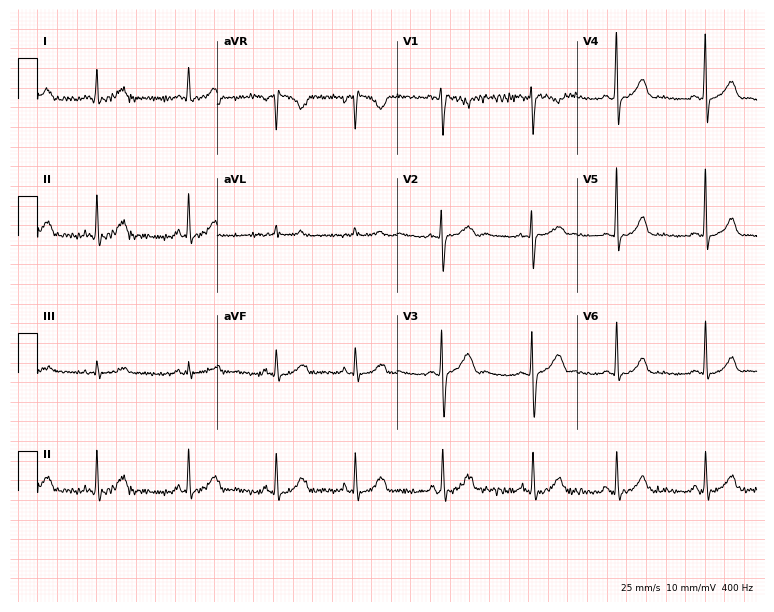
12-lead ECG from a female patient, 19 years old (7.3-second recording at 400 Hz). Recorded interpretation: within normal limits.